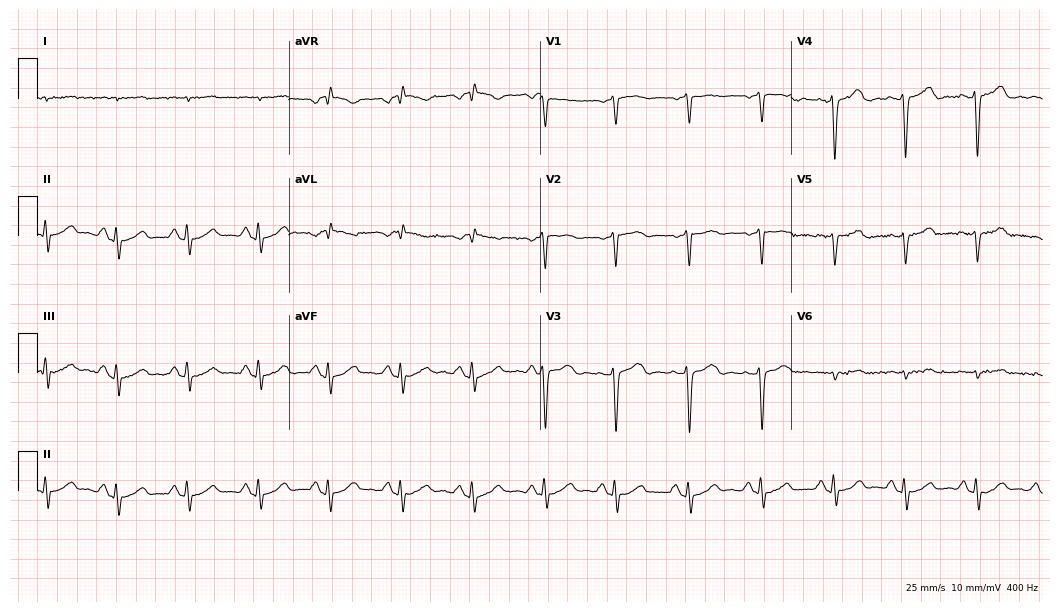
Resting 12-lead electrocardiogram. Patient: a man, 58 years old. None of these six findings is recorded: first-degree AV block, right bundle branch block, left bundle branch block, sinus bradycardia, atrial fibrillation, sinus tachycardia.